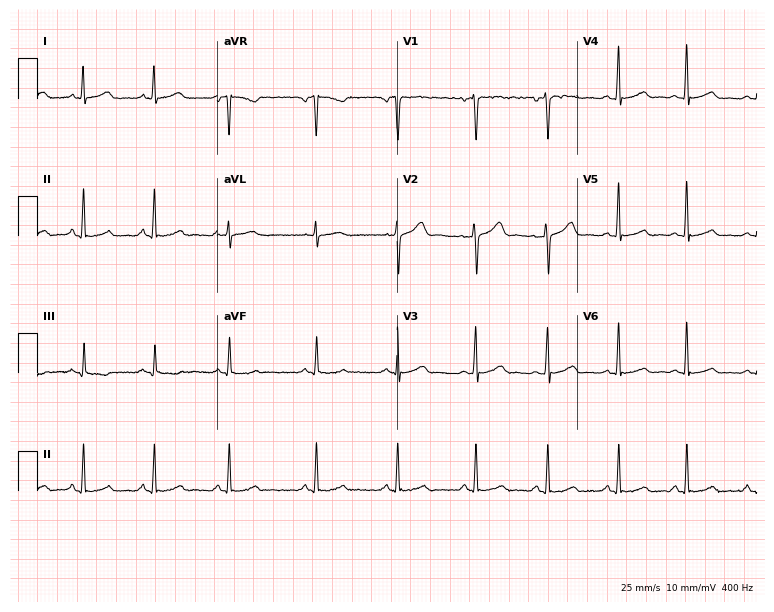
Electrocardiogram (7.3-second recording at 400 Hz), a 35-year-old female patient. Overall reading on record: normal ECG.